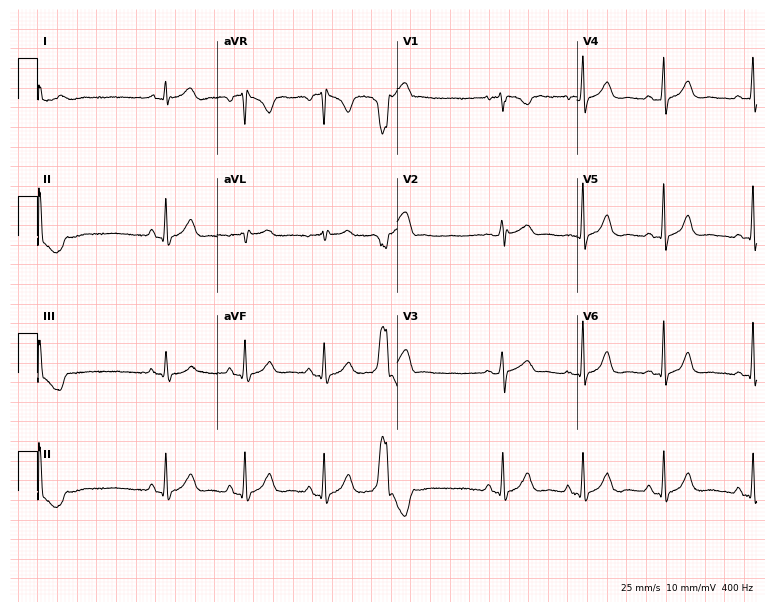
Resting 12-lead electrocardiogram (7.3-second recording at 400 Hz). Patient: a 36-year-old female. None of these six findings is recorded: first-degree AV block, right bundle branch block, left bundle branch block, sinus bradycardia, atrial fibrillation, sinus tachycardia. Findings outside these six are not listed.